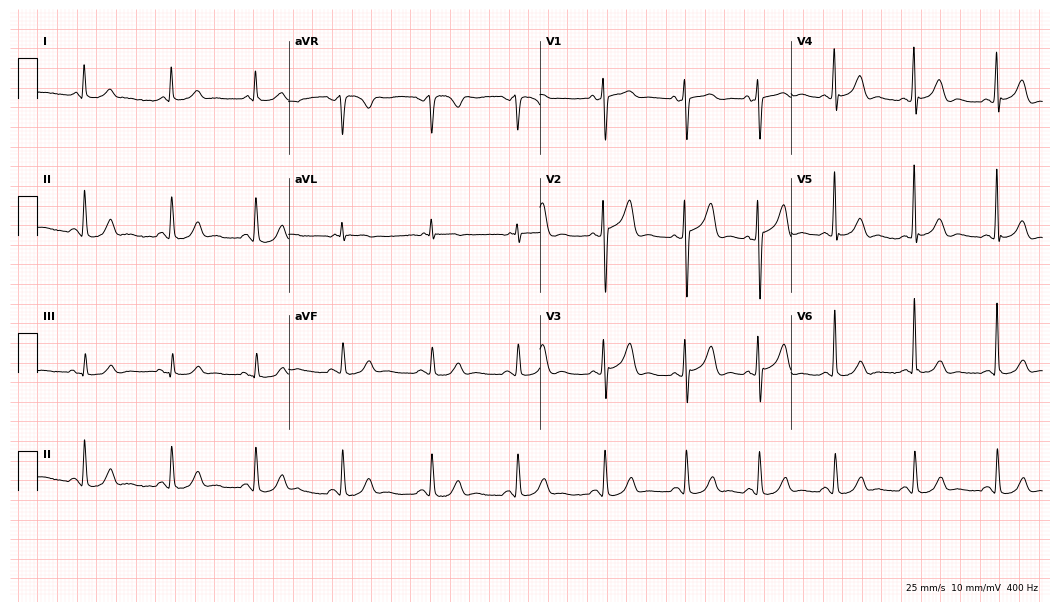
ECG (10.2-second recording at 400 Hz) — a male, 55 years old. Labelled as a normal ECG.